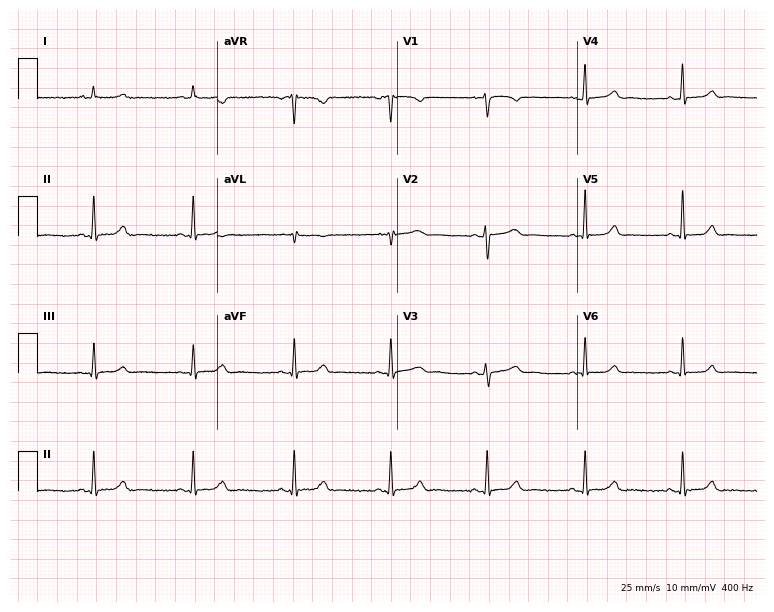
12-lead ECG from a 40-year-old woman. No first-degree AV block, right bundle branch block, left bundle branch block, sinus bradycardia, atrial fibrillation or sinus tachycardia recorded for this tracing. Findings outside these six are not listed.